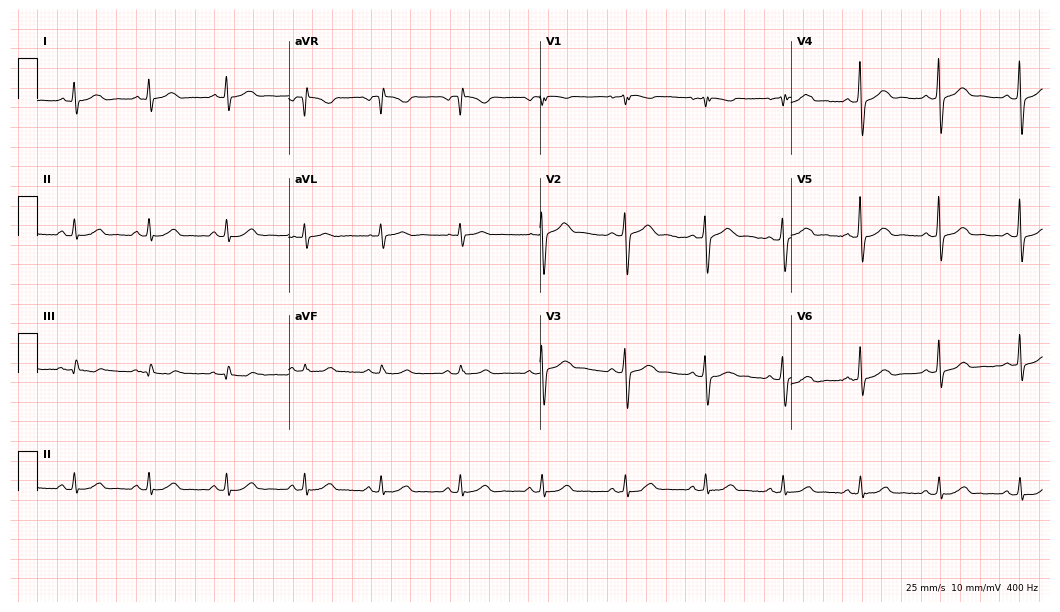
Electrocardiogram (10.2-second recording at 400 Hz), a woman, 52 years old. Overall reading on record: normal ECG.